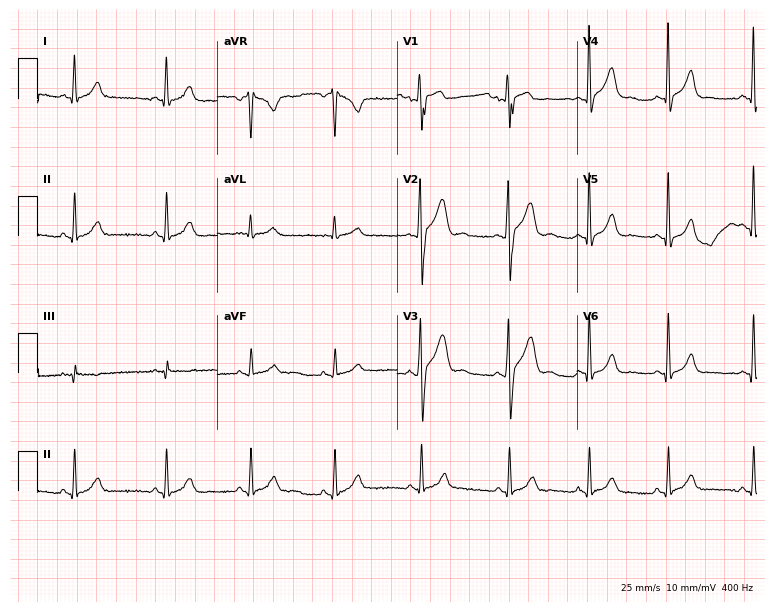
ECG (7.3-second recording at 400 Hz) — a 24-year-old male. Labelled as a normal ECG.